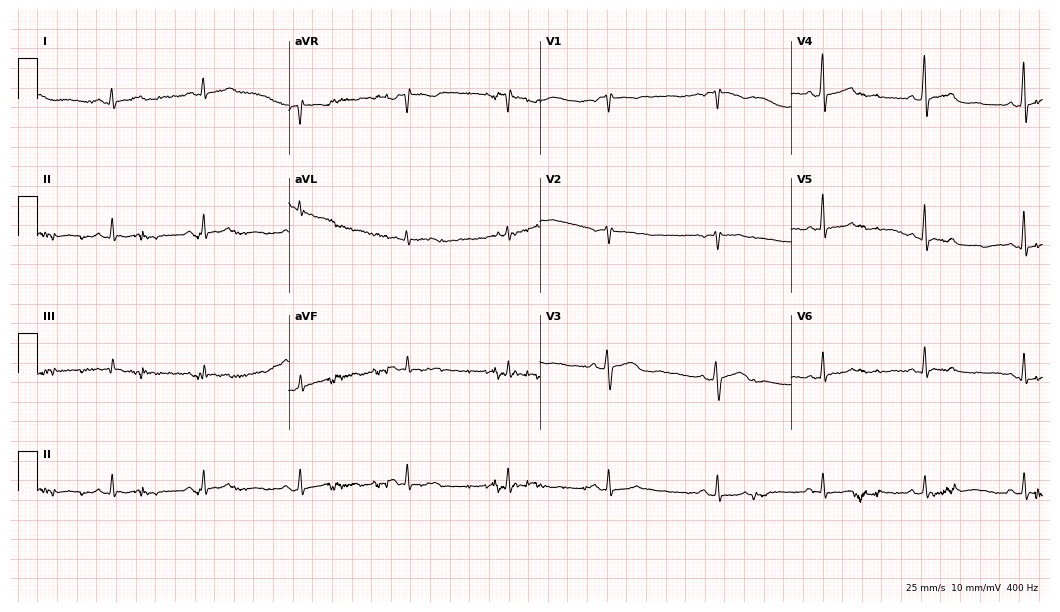
ECG — a 50-year-old female patient. Labelled as a normal ECG.